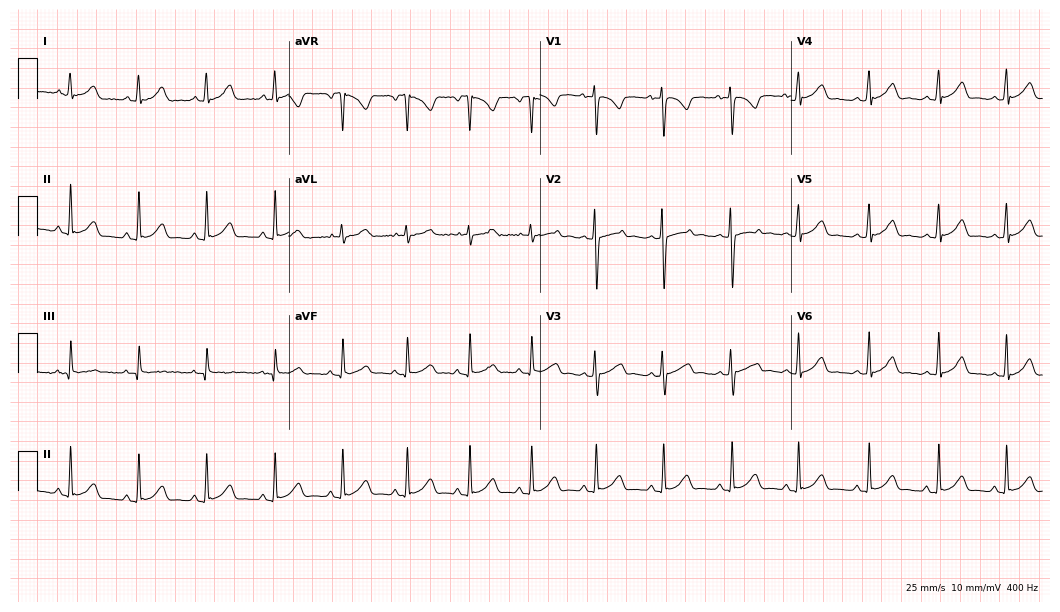
12-lead ECG from an 18-year-old female patient. Labelled as a normal ECG.